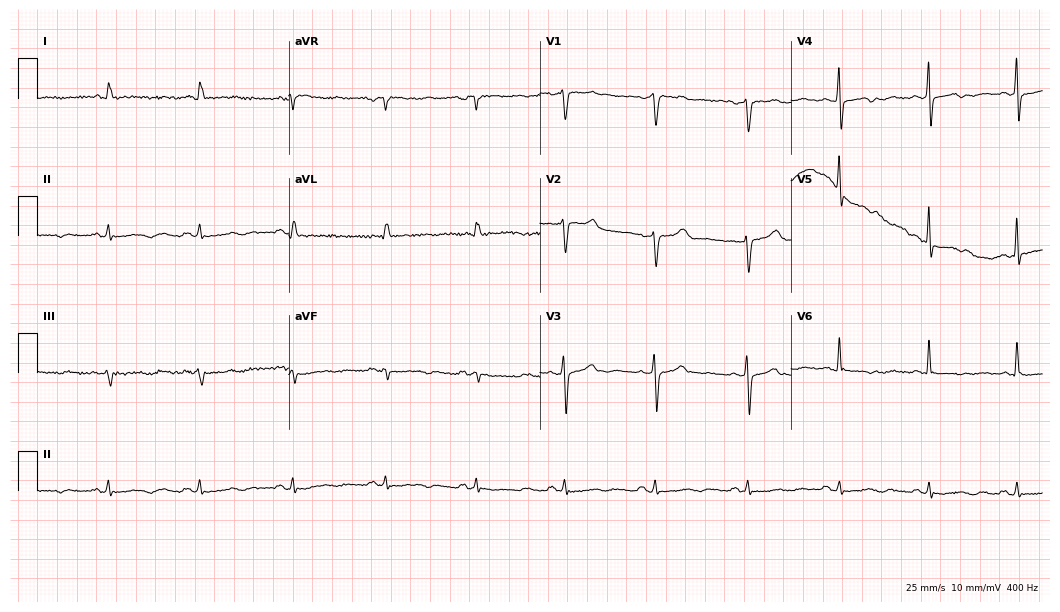
12-lead ECG from a female patient, 57 years old (10.2-second recording at 400 Hz). No first-degree AV block, right bundle branch block, left bundle branch block, sinus bradycardia, atrial fibrillation or sinus tachycardia recorded for this tracing. Only these six findings were labelled.